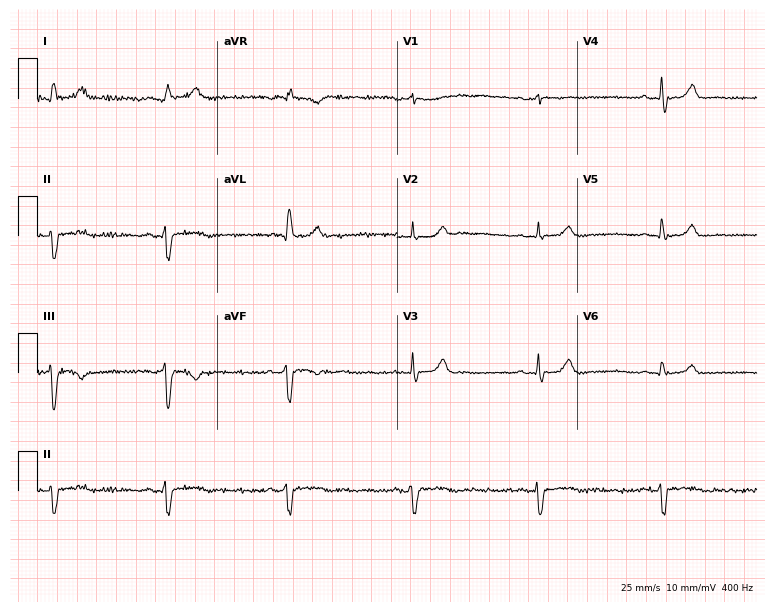
12-lead ECG from a male, 69 years old (7.3-second recording at 400 Hz). Shows sinus bradycardia (a sinus rate of 50 beats per minute or less).